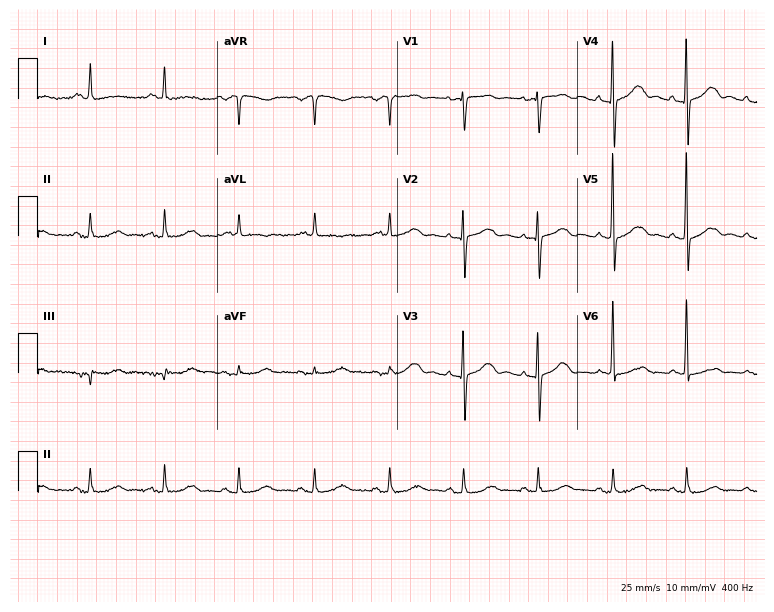
12-lead ECG from an 81-year-old female patient. No first-degree AV block, right bundle branch block, left bundle branch block, sinus bradycardia, atrial fibrillation or sinus tachycardia recorded for this tracing.